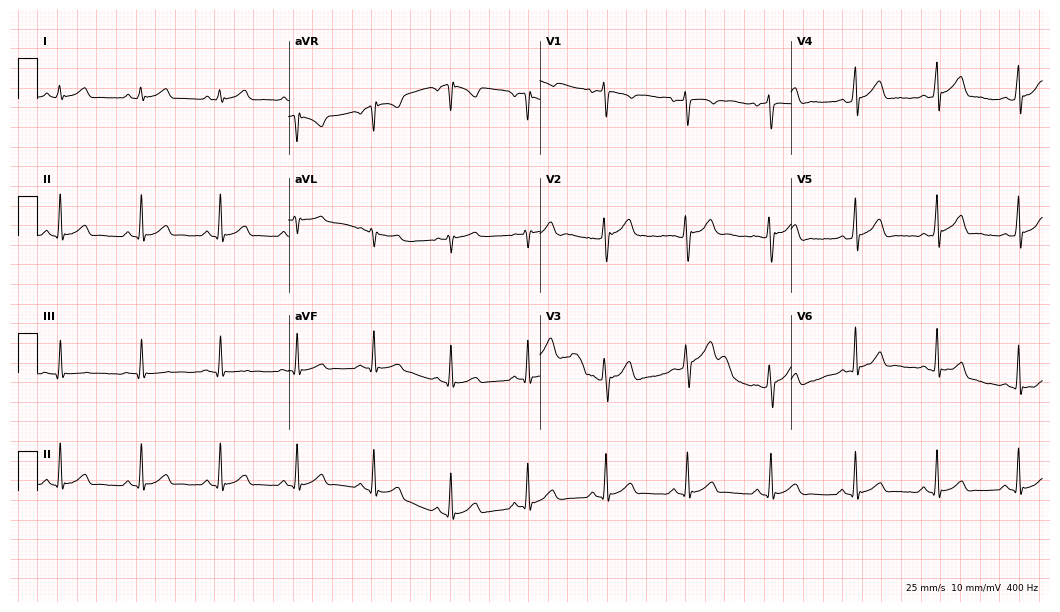
ECG (10.2-second recording at 400 Hz) — a man, 33 years old. Labelled as a normal ECG.